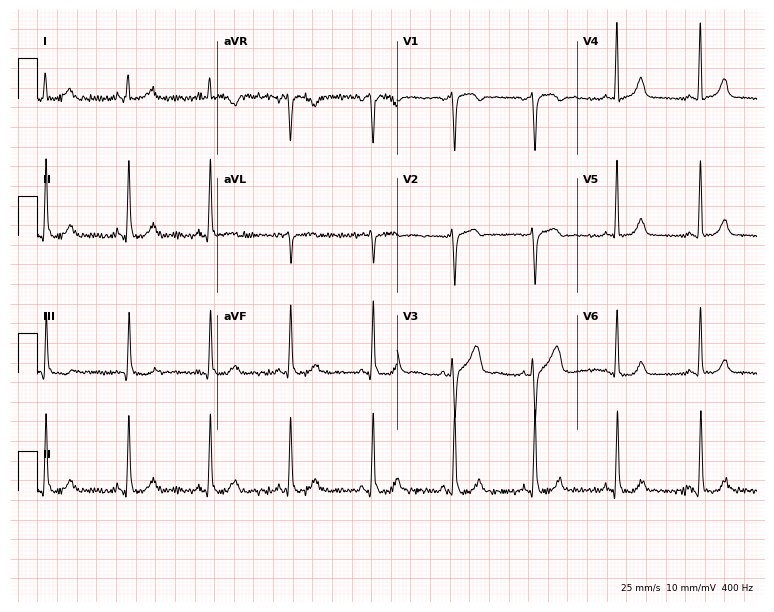
Electrocardiogram, a female, 43 years old. Of the six screened findings (first-degree AV block, right bundle branch block (RBBB), left bundle branch block (LBBB), sinus bradycardia, atrial fibrillation (AF), sinus tachycardia), none is recorded. Findings outside these six are not listed.